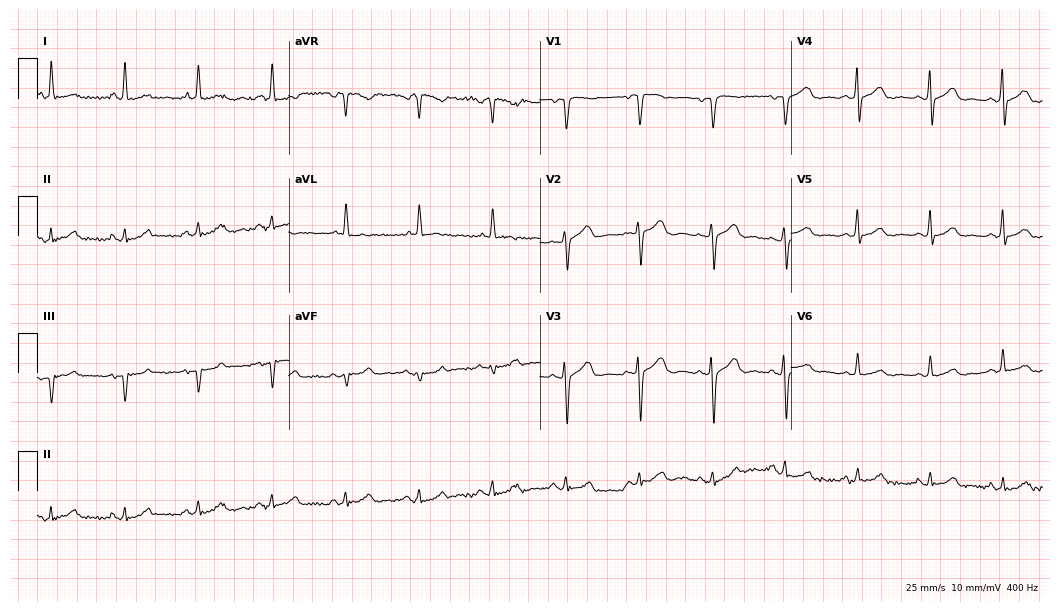
Standard 12-lead ECG recorded from a 75-year-old female. Read as a normal ECG.